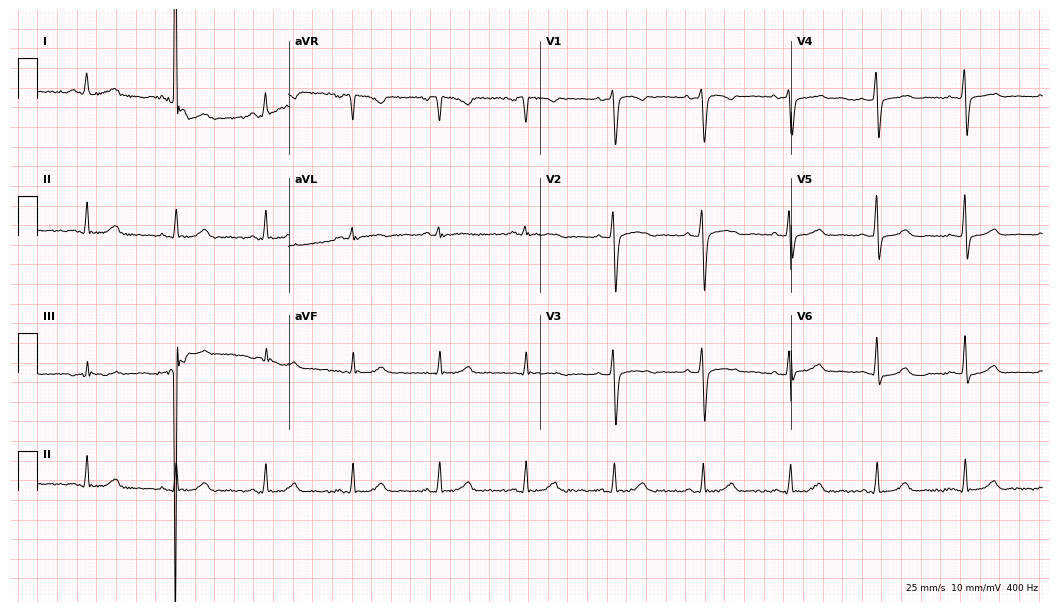
ECG (10.2-second recording at 400 Hz) — a woman, 54 years old. Screened for six findings — first-degree AV block, right bundle branch block, left bundle branch block, sinus bradycardia, atrial fibrillation, sinus tachycardia — none is recorded.